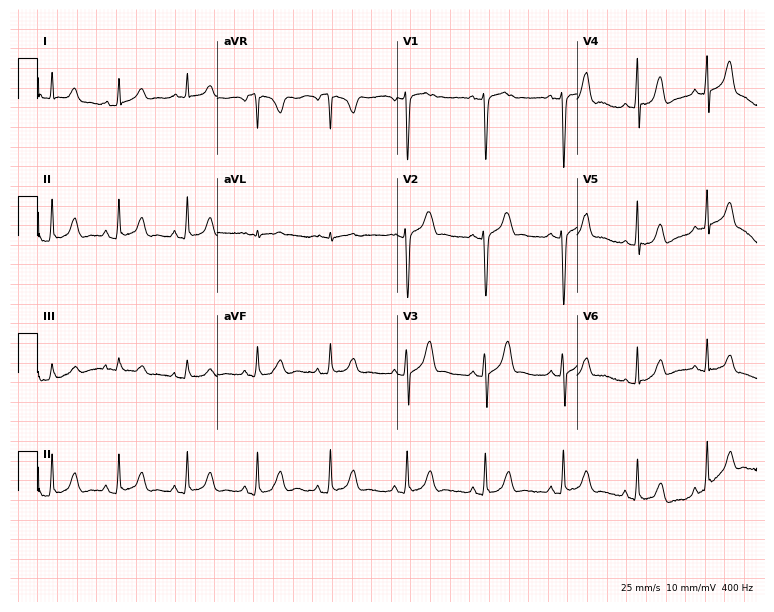
12-lead ECG from a 19-year-old female. Labelled as a normal ECG.